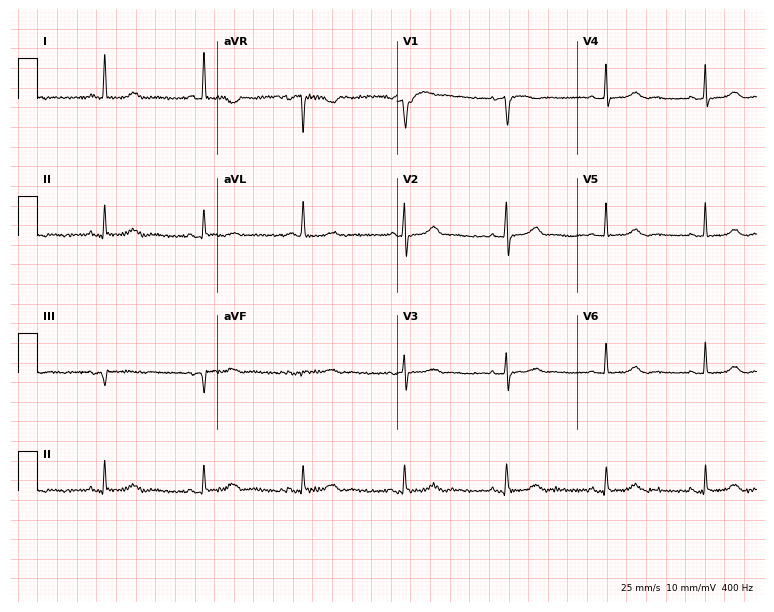
12-lead ECG from a 77-year-old woman. Recorded interpretation: within normal limits.